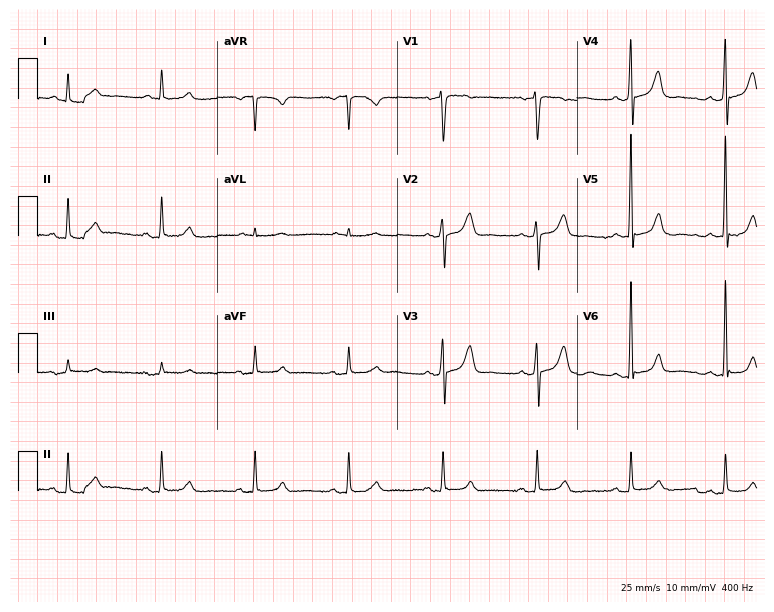
Electrocardiogram, a 62-year-old female patient. Of the six screened findings (first-degree AV block, right bundle branch block, left bundle branch block, sinus bradycardia, atrial fibrillation, sinus tachycardia), none is recorded.